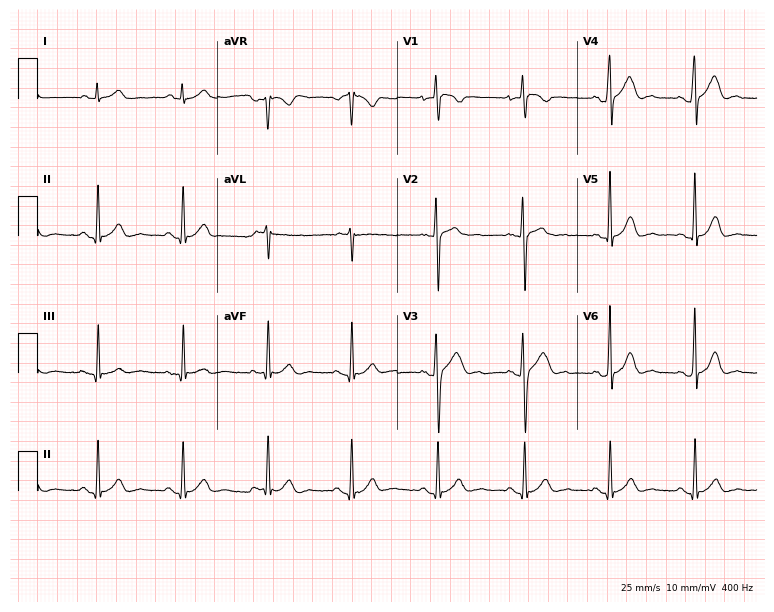
12-lead ECG (7.3-second recording at 400 Hz) from a man, 24 years old. Labelled as a normal ECG.